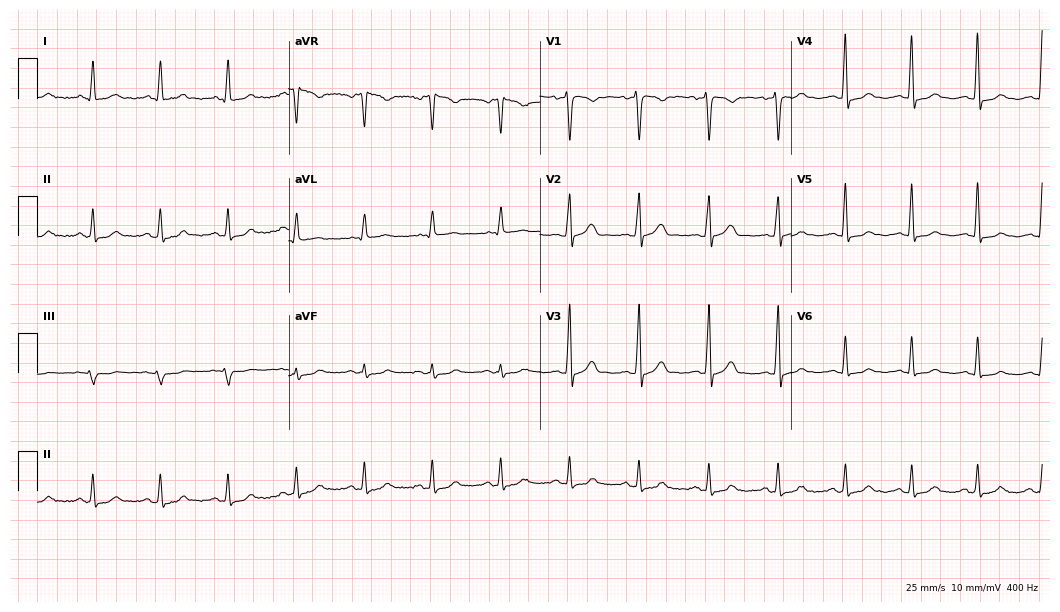
12-lead ECG from a 46-year-old female. Recorded interpretation: within normal limits.